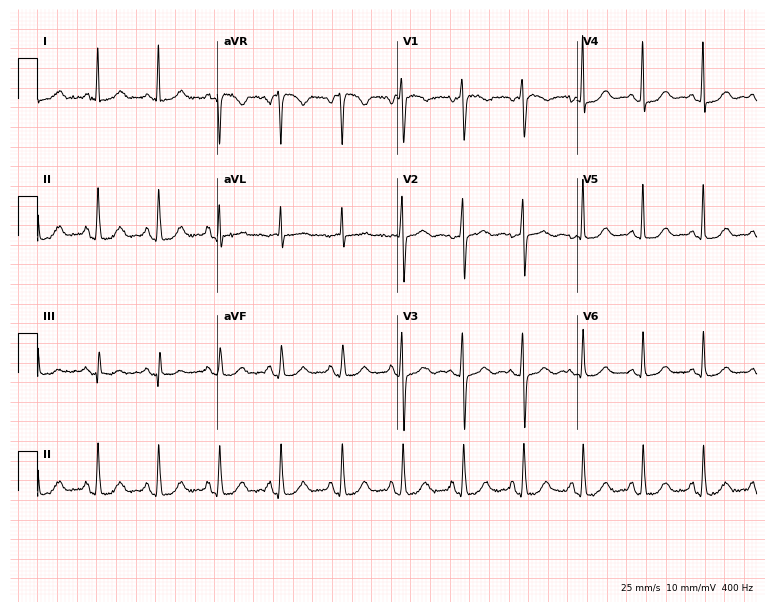
ECG — a 57-year-old female patient. Labelled as a normal ECG.